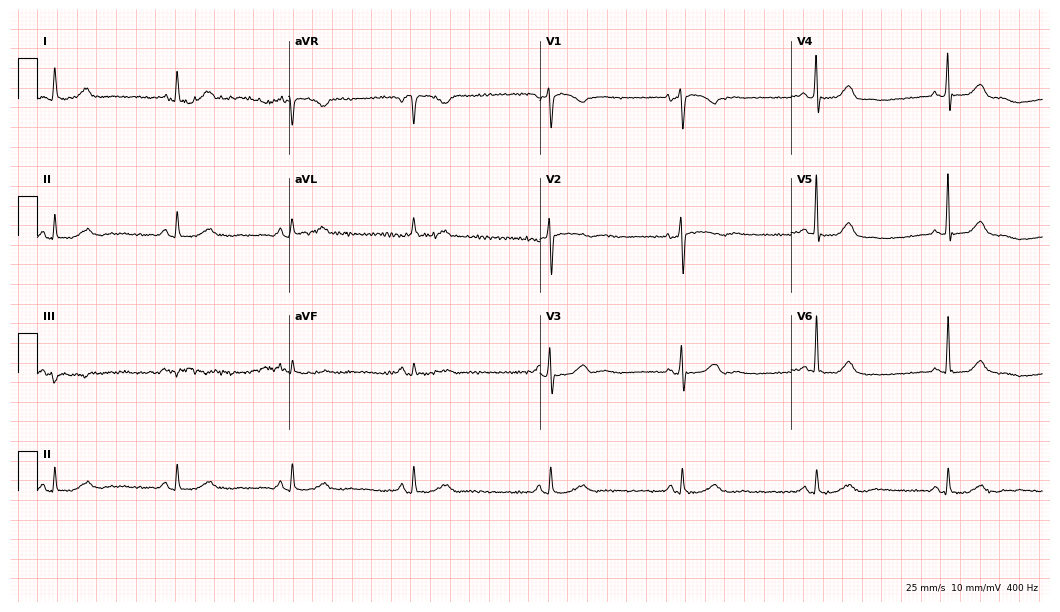
ECG (10.2-second recording at 400 Hz) — a female, 74 years old. Findings include sinus bradycardia (a sinus rate of 50 beats per minute or less).